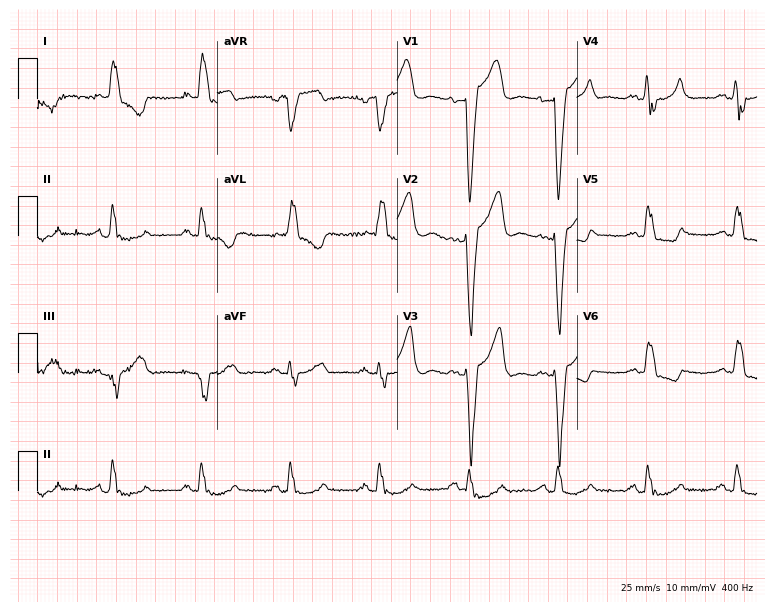
12-lead ECG from a woman, 74 years old (7.3-second recording at 400 Hz). Shows left bundle branch block.